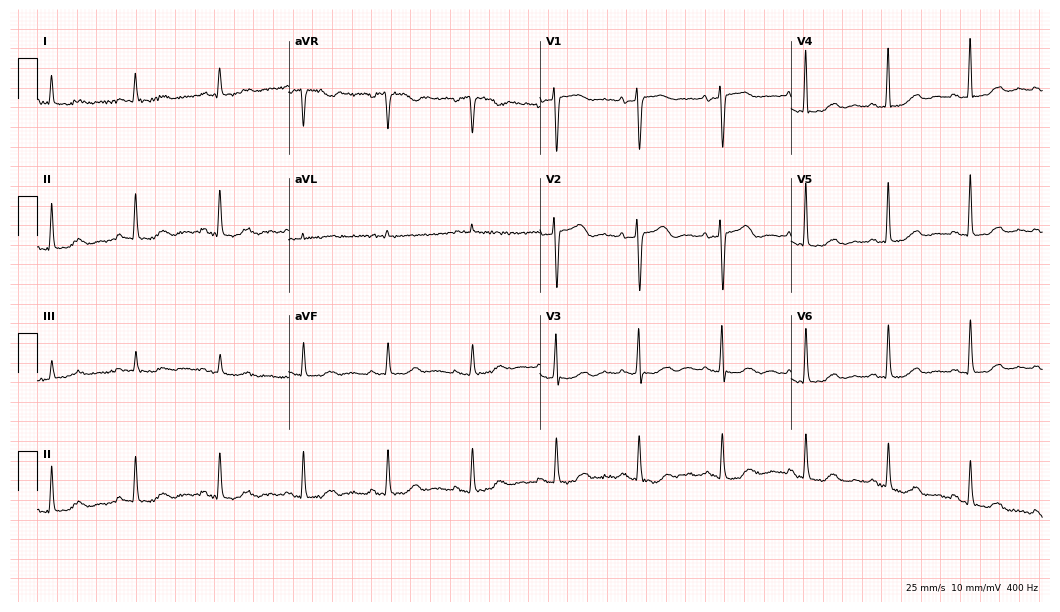
12-lead ECG from a woman, 81 years old. Labelled as a normal ECG.